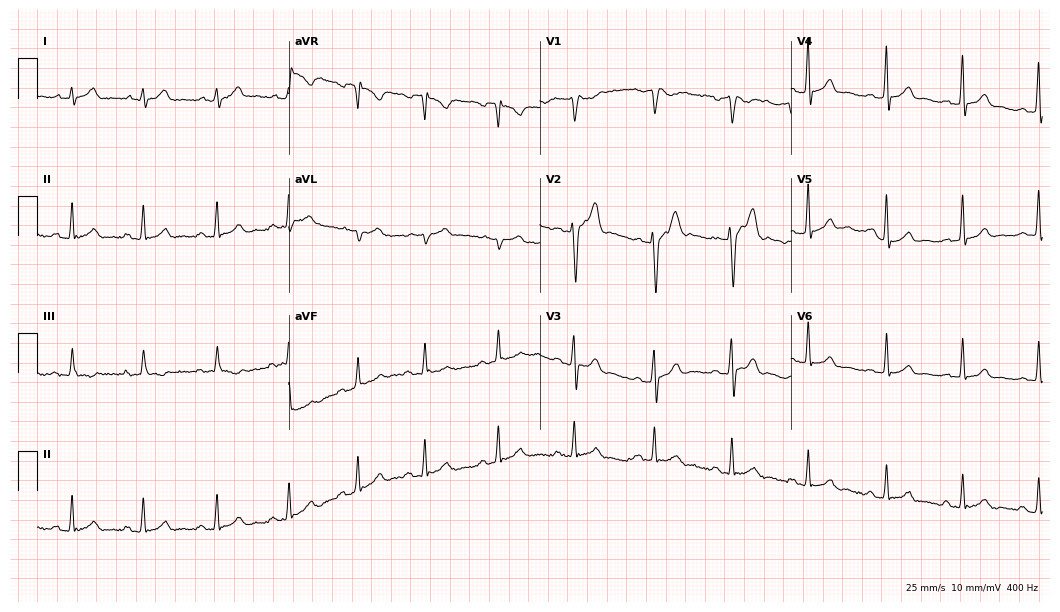
ECG — a 29-year-old man. Labelled as a normal ECG.